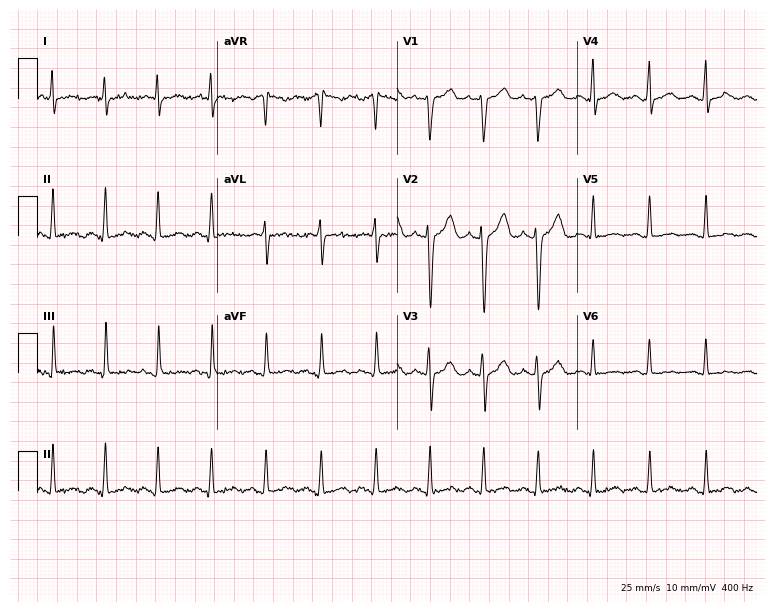
Electrocardiogram (7.3-second recording at 400 Hz), a female patient, 31 years old. Interpretation includes sinus tachycardia (a sinus rate of 100 beats per minute or more).